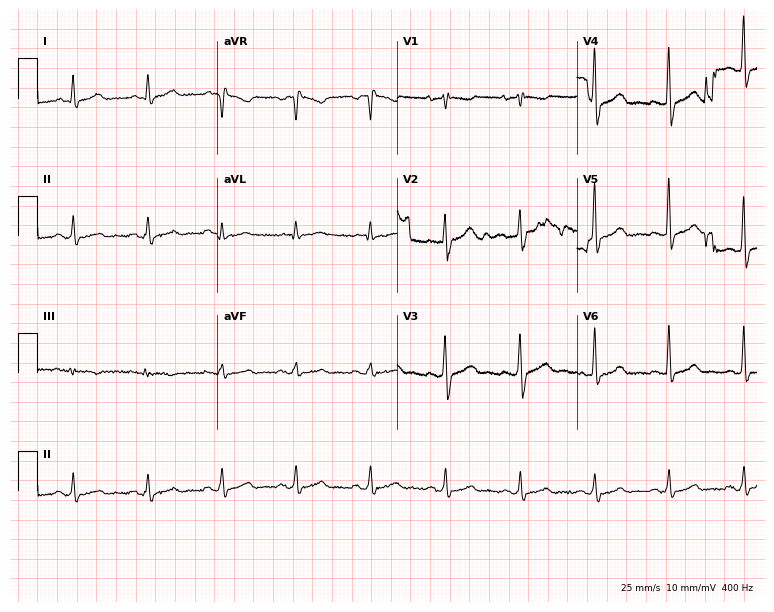
Resting 12-lead electrocardiogram. Patient: a male, 65 years old. None of these six findings is recorded: first-degree AV block, right bundle branch block, left bundle branch block, sinus bradycardia, atrial fibrillation, sinus tachycardia. Other findings, if any, are not listed.